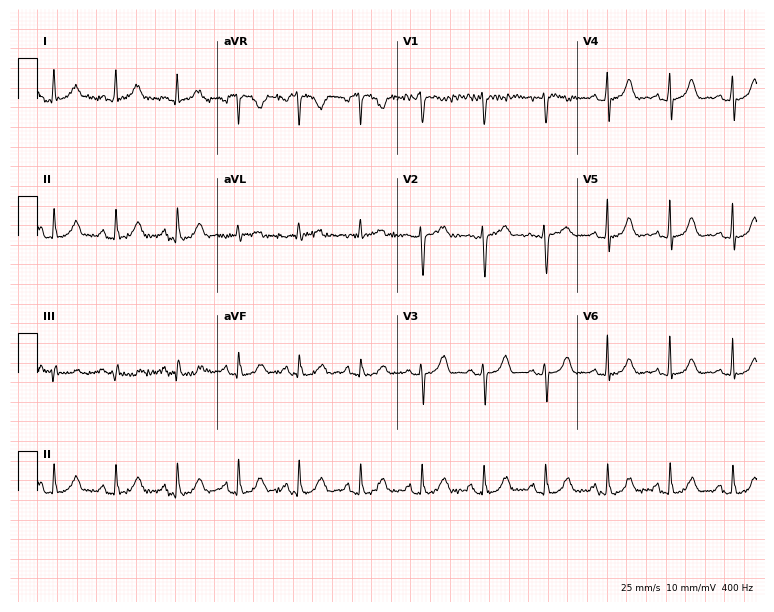
12-lead ECG from a 68-year-old female patient. No first-degree AV block, right bundle branch block (RBBB), left bundle branch block (LBBB), sinus bradycardia, atrial fibrillation (AF) or sinus tachycardia recorded for this tracing.